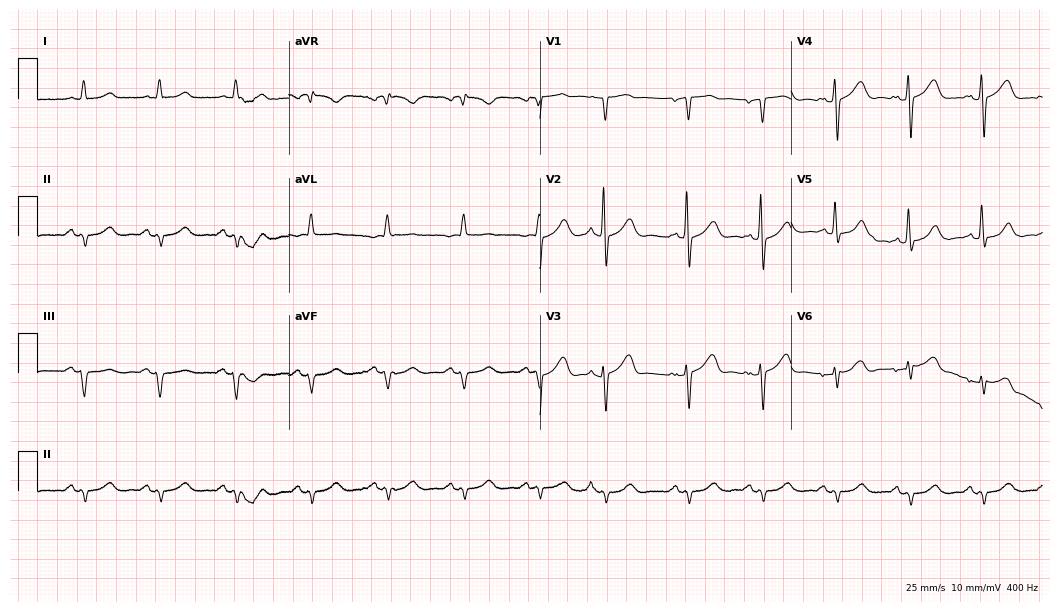
Electrocardiogram, an 80-year-old male patient. Of the six screened findings (first-degree AV block, right bundle branch block (RBBB), left bundle branch block (LBBB), sinus bradycardia, atrial fibrillation (AF), sinus tachycardia), none is recorded. Other findings, if any, are not listed.